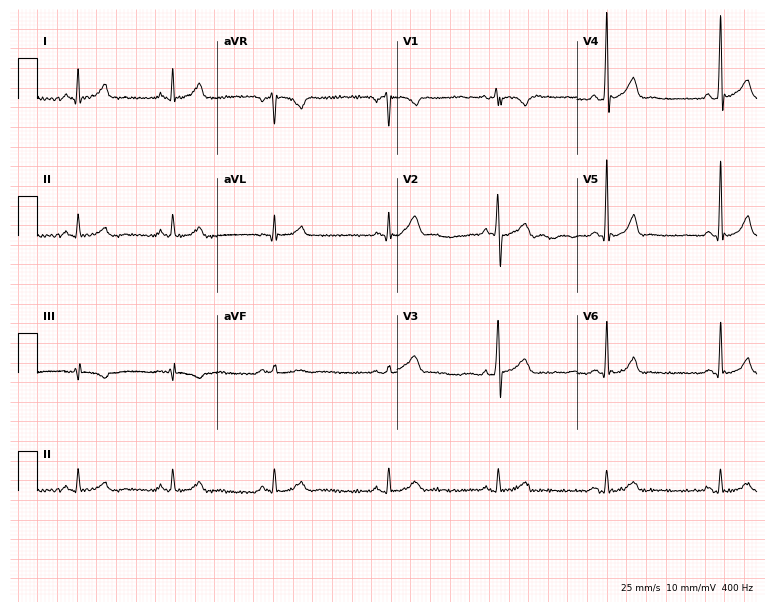
12-lead ECG from a male, 37 years old. Recorded interpretation: within normal limits.